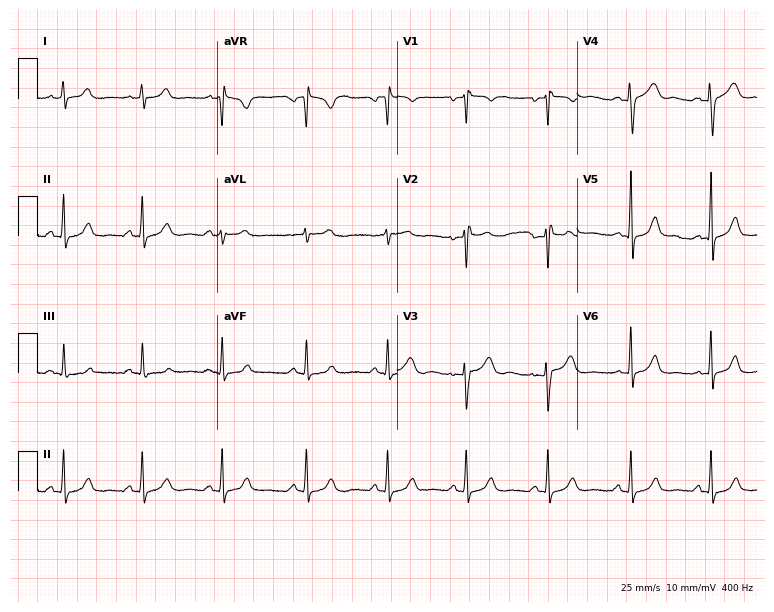
12-lead ECG from a female, 26 years old. Labelled as a normal ECG.